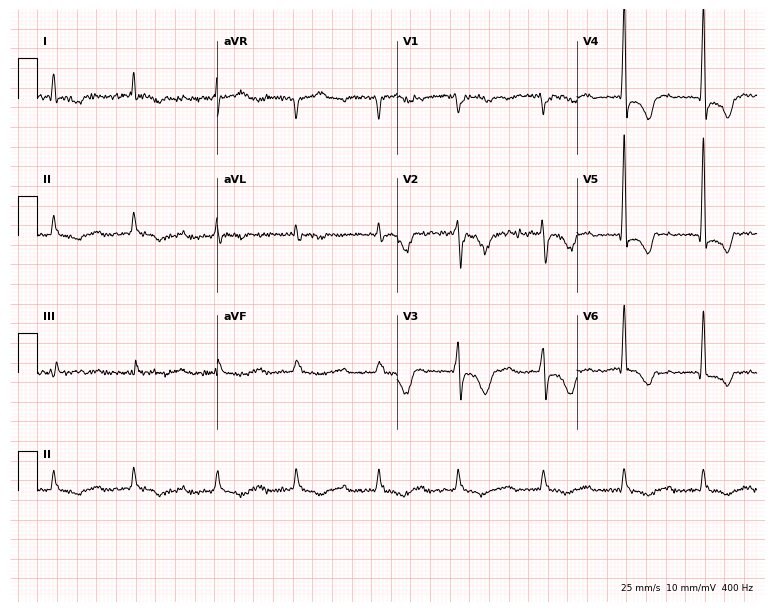
12-lead ECG from a 78-year-old male patient. Screened for six findings — first-degree AV block, right bundle branch block, left bundle branch block, sinus bradycardia, atrial fibrillation, sinus tachycardia — none is recorded.